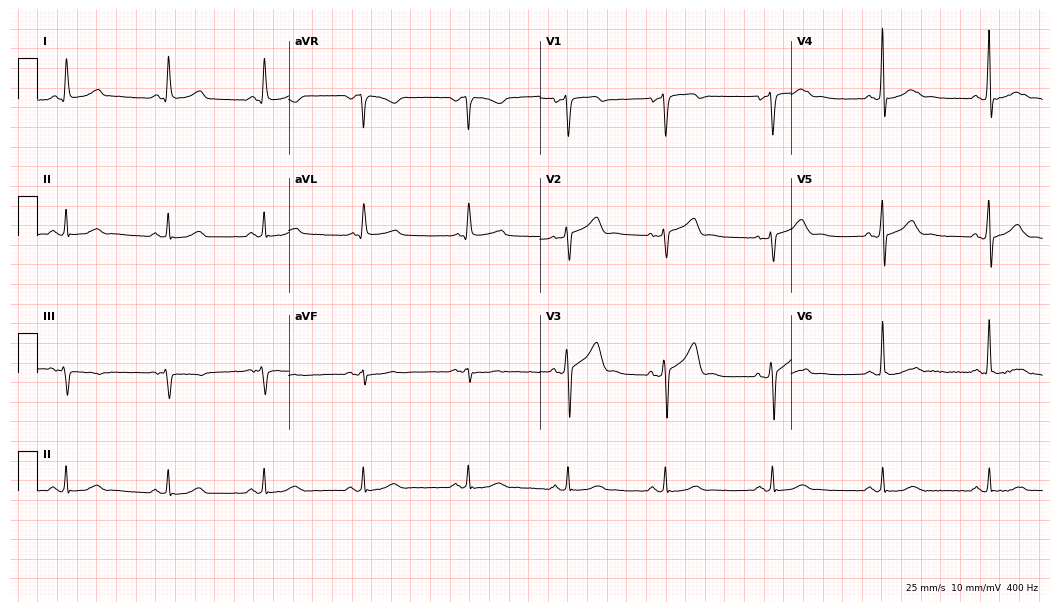
Resting 12-lead electrocardiogram. Patient: a 56-year-old man. Read as a normal ECG.